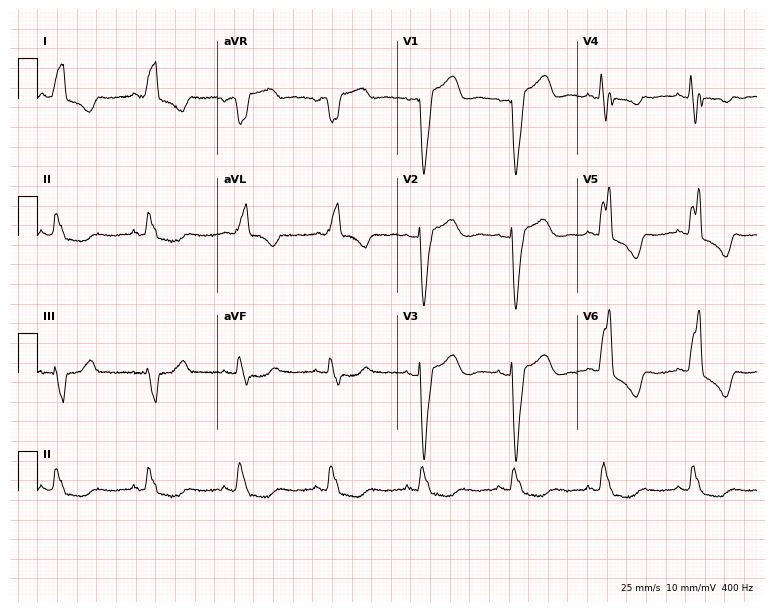
ECG (7.3-second recording at 400 Hz) — a female, 78 years old. Findings include left bundle branch block.